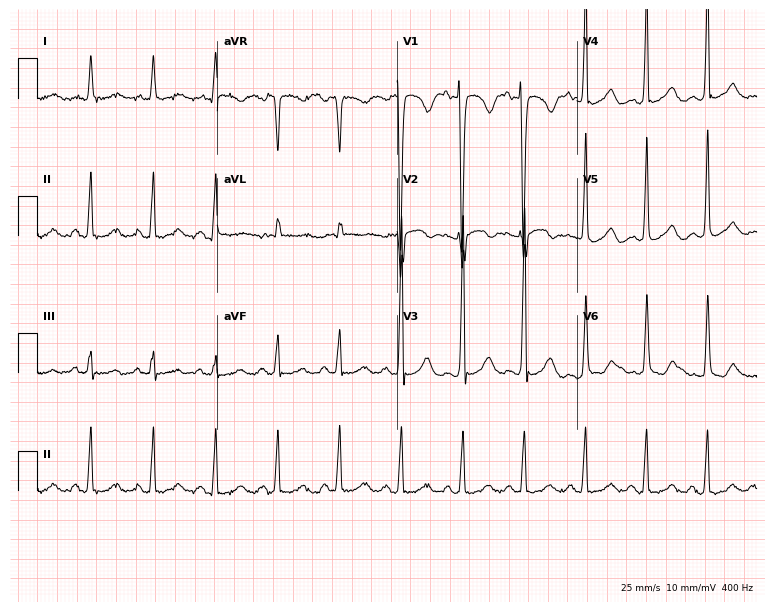
12-lead ECG from a male, 57 years old. Screened for six findings — first-degree AV block, right bundle branch block, left bundle branch block, sinus bradycardia, atrial fibrillation, sinus tachycardia — none is recorded. Findings outside these six are not listed.